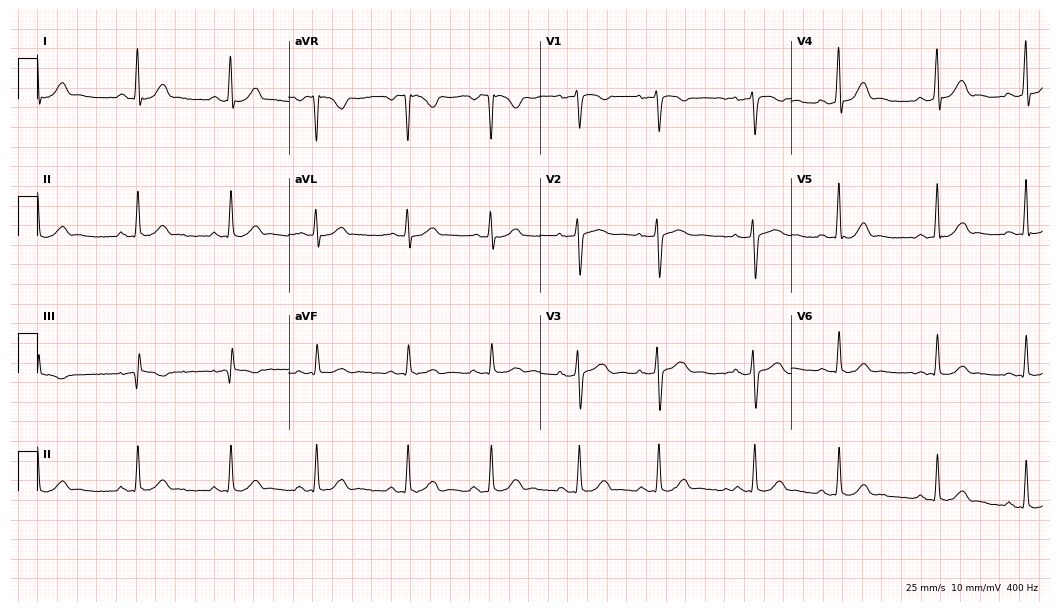
Standard 12-lead ECG recorded from a female patient, 23 years old. Read as a normal ECG.